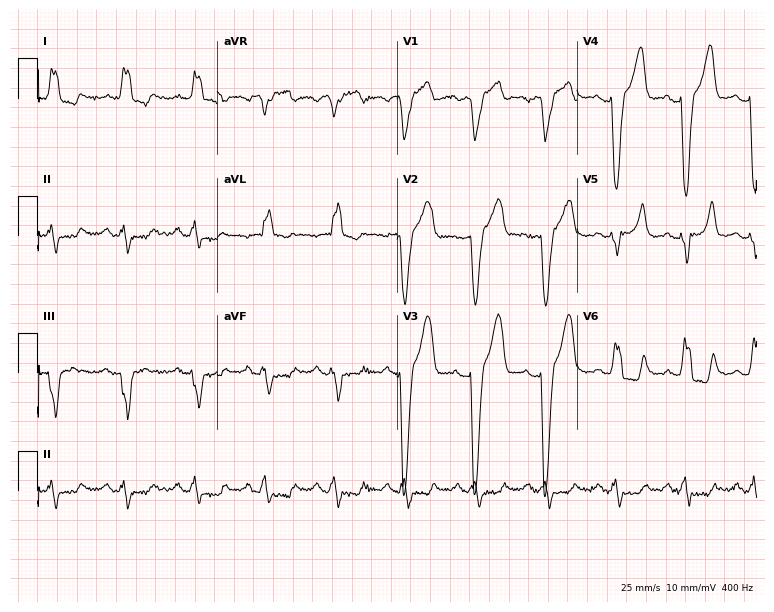
Standard 12-lead ECG recorded from a male, 82 years old. None of these six findings is recorded: first-degree AV block, right bundle branch block, left bundle branch block, sinus bradycardia, atrial fibrillation, sinus tachycardia. Findings outside these six are not listed.